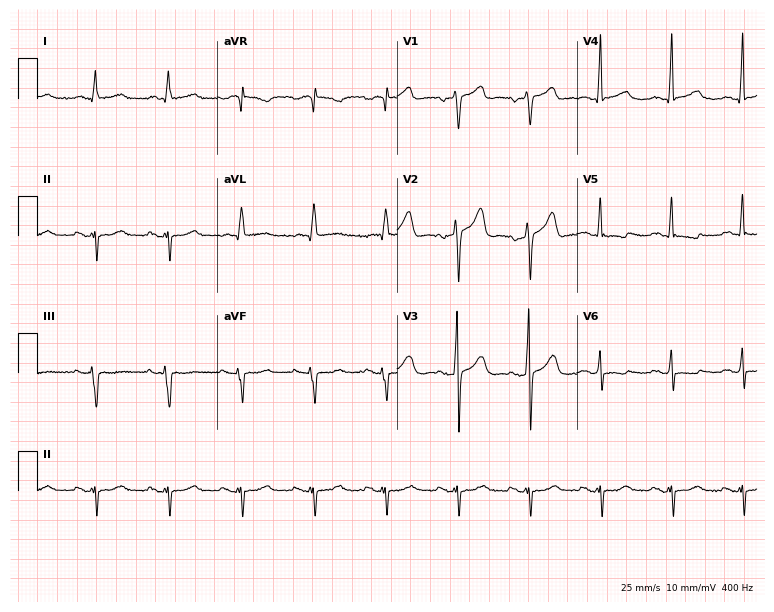
Resting 12-lead electrocardiogram (7.3-second recording at 400 Hz). Patient: a 65-year-old male. None of these six findings is recorded: first-degree AV block, right bundle branch block, left bundle branch block, sinus bradycardia, atrial fibrillation, sinus tachycardia.